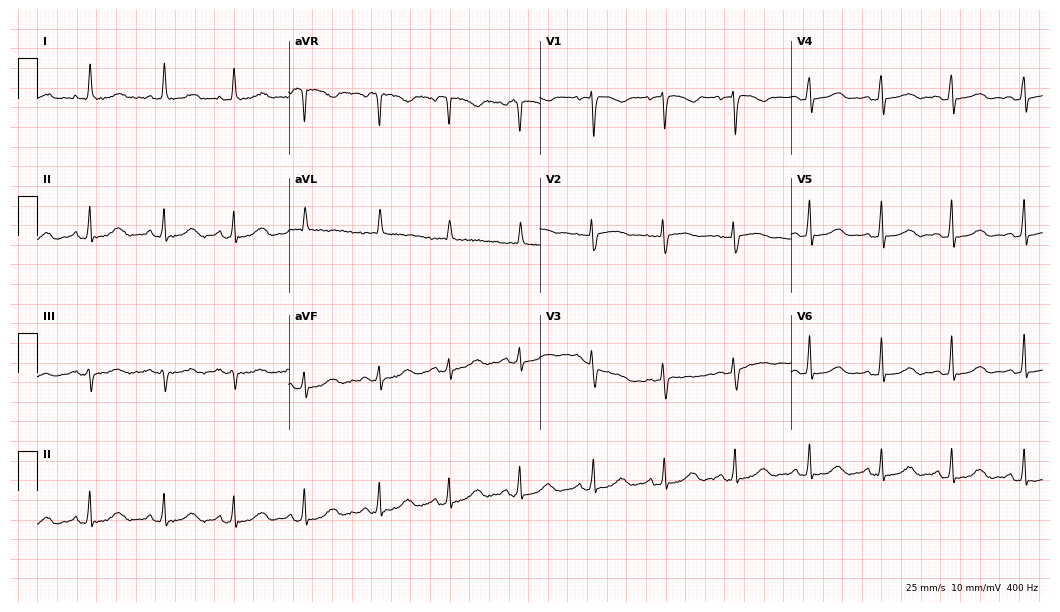
12-lead ECG from a female patient, 67 years old. Labelled as a normal ECG.